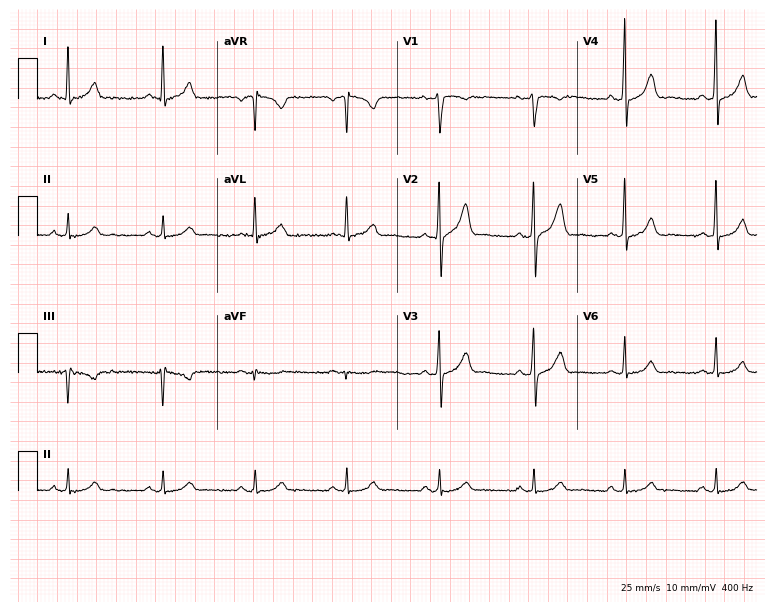
12-lead ECG from a 50-year-old male. Labelled as a normal ECG.